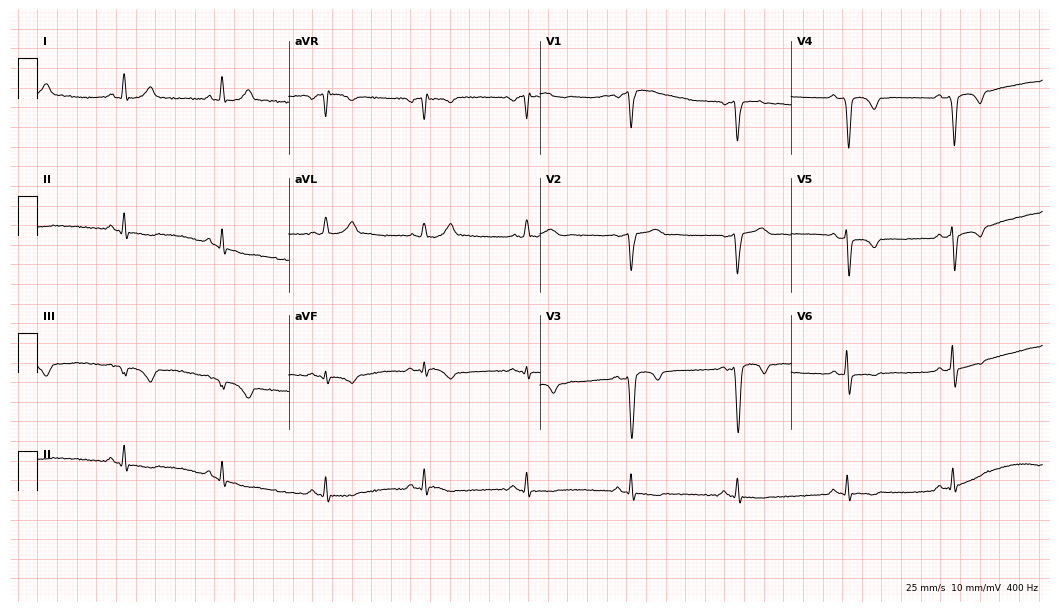
Standard 12-lead ECG recorded from a male patient, 46 years old (10.2-second recording at 400 Hz). None of these six findings is recorded: first-degree AV block, right bundle branch block, left bundle branch block, sinus bradycardia, atrial fibrillation, sinus tachycardia.